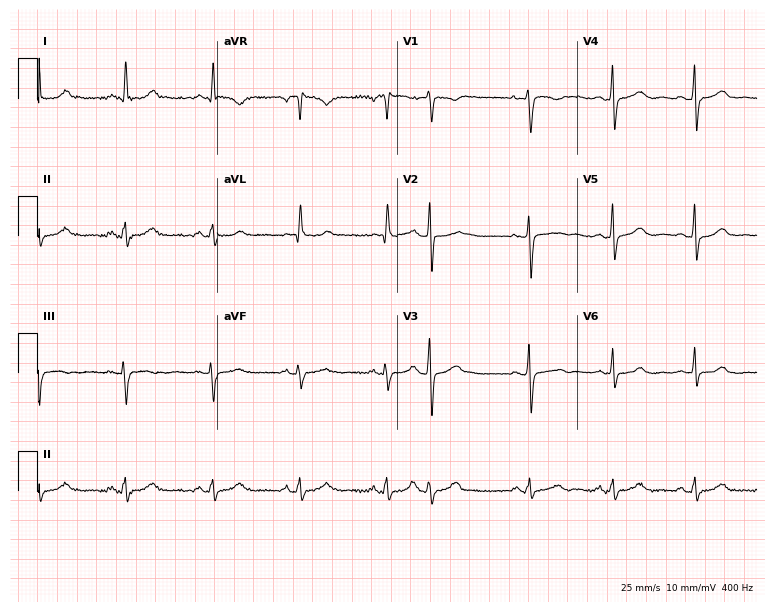
ECG — a female patient, 55 years old. Screened for six findings — first-degree AV block, right bundle branch block (RBBB), left bundle branch block (LBBB), sinus bradycardia, atrial fibrillation (AF), sinus tachycardia — none is recorded. Other findings, if any, are not listed.